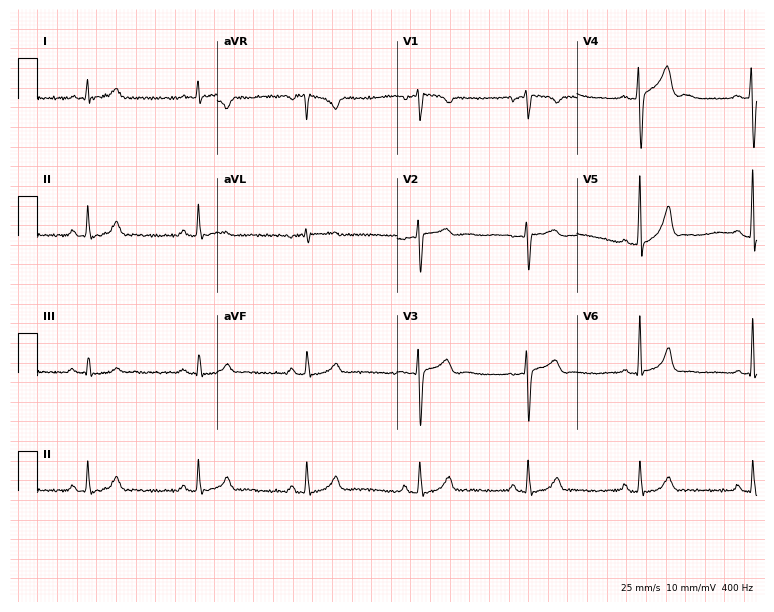
Resting 12-lead electrocardiogram (7.3-second recording at 400 Hz). Patient: a 30-year-old male. None of these six findings is recorded: first-degree AV block, right bundle branch block, left bundle branch block, sinus bradycardia, atrial fibrillation, sinus tachycardia. Other findings, if any, are not listed.